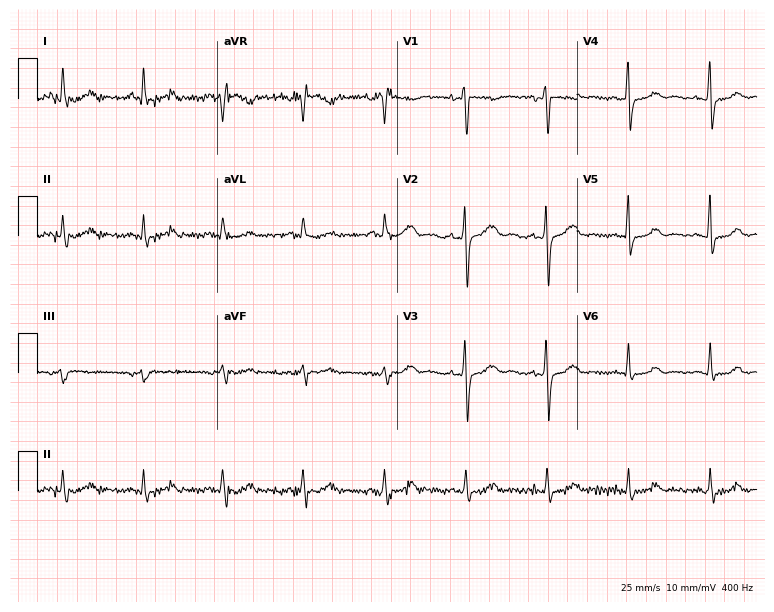
Resting 12-lead electrocardiogram (7.3-second recording at 400 Hz). Patient: a woman, 56 years old. None of these six findings is recorded: first-degree AV block, right bundle branch block, left bundle branch block, sinus bradycardia, atrial fibrillation, sinus tachycardia.